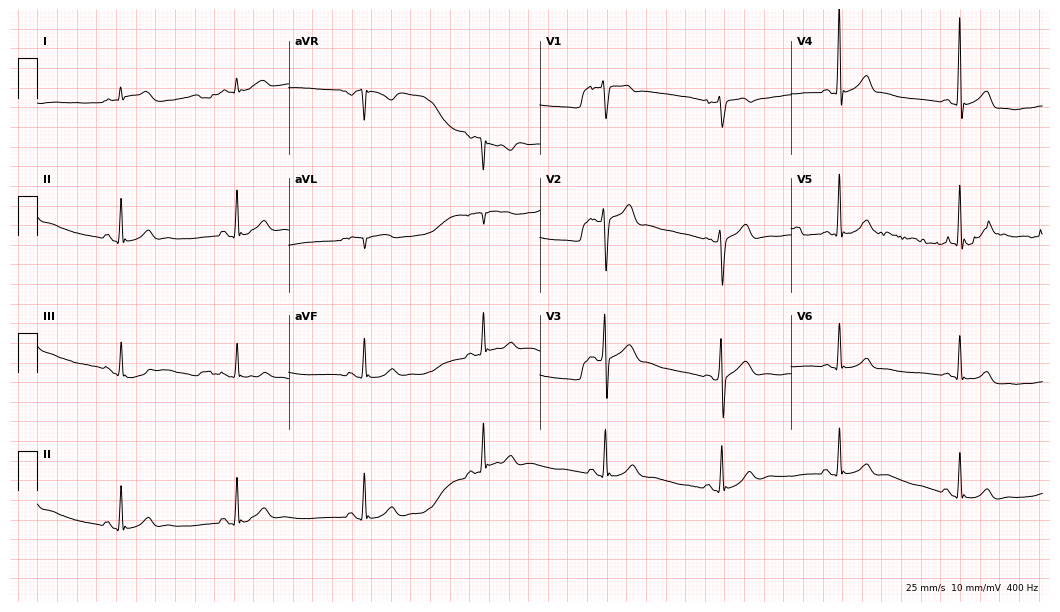
Standard 12-lead ECG recorded from a 24-year-old male (10.2-second recording at 400 Hz). Read as a normal ECG.